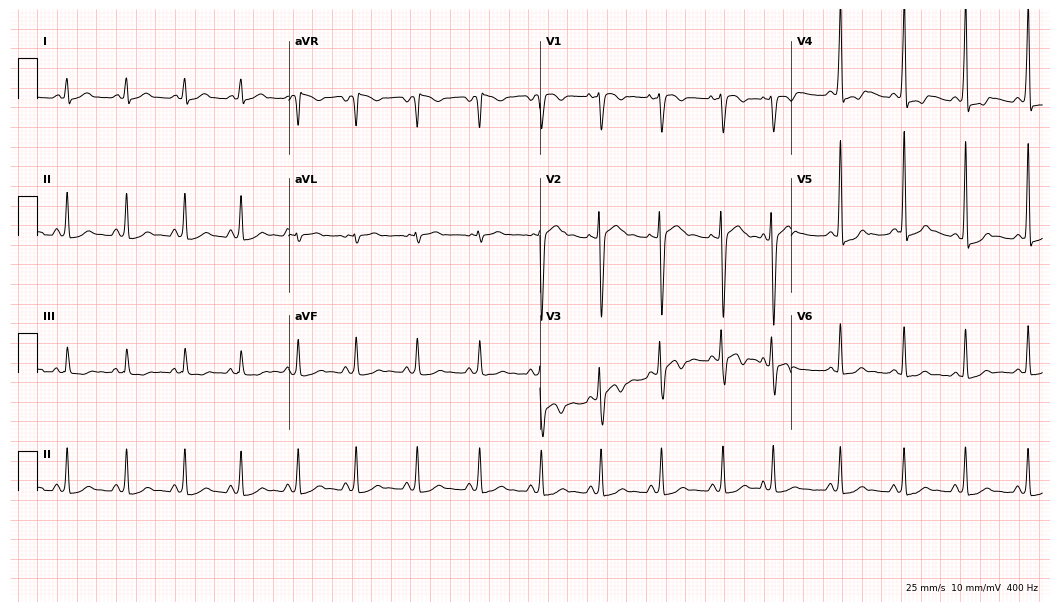
Electrocardiogram (10.2-second recording at 400 Hz), a 24-year-old male. Of the six screened findings (first-degree AV block, right bundle branch block (RBBB), left bundle branch block (LBBB), sinus bradycardia, atrial fibrillation (AF), sinus tachycardia), none is recorded. Other findings, if any, are not listed.